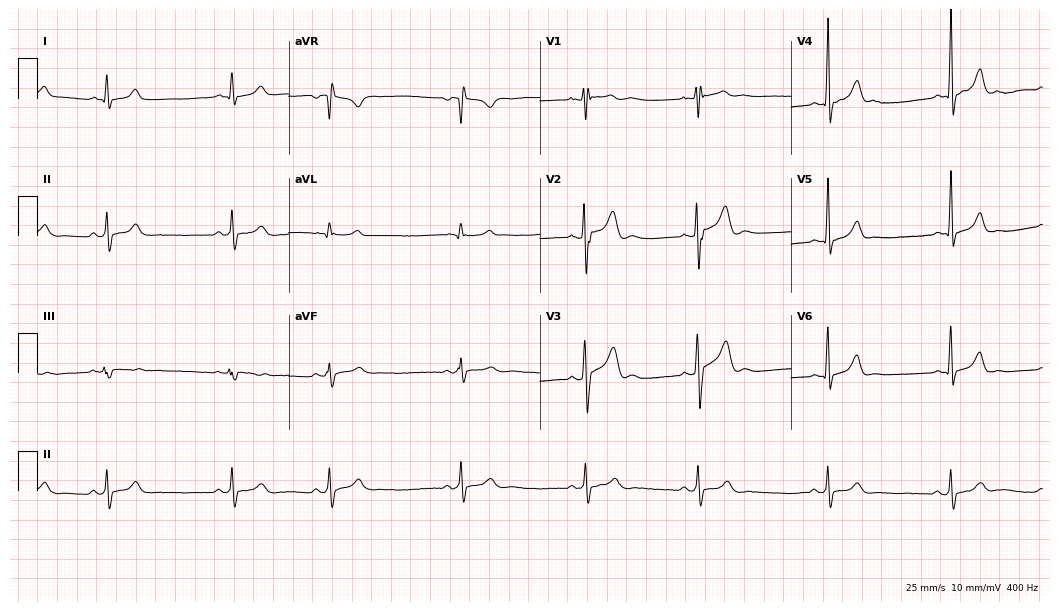
Standard 12-lead ECG recorded from an 18-year-old man. None of these six findings is recorded: first-degree AV block, right bundle branch block, left bundle branch block, sinus bradycardia, atrial fibrillation, sinus tachycardia.